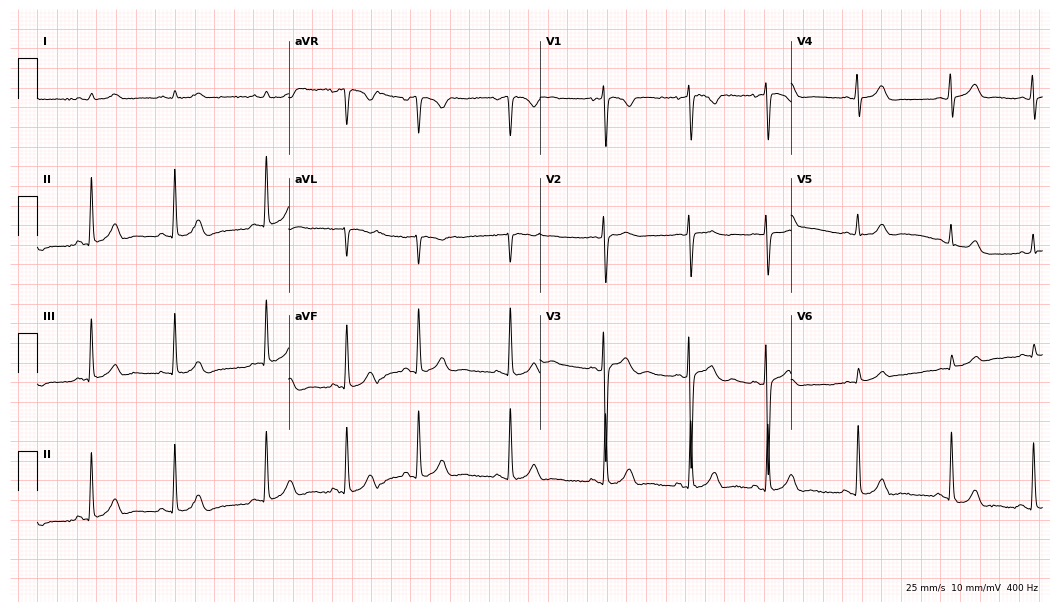
12-lead ECG from a female patient, 18 years old. Recorded interpretation: within normal limits.